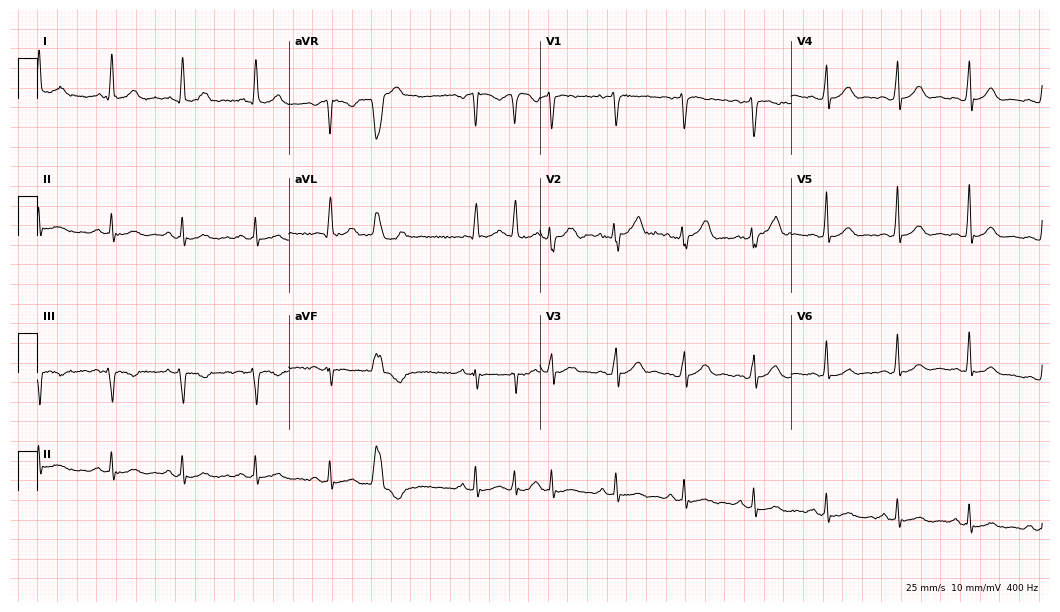
12-lead ECG from a man, 61 years old. No first-degree AV block, right bundle branch block (RBBB), left bundle branch block (LBBB), sinus bradycardia, atrial fibrillation (AF) or sinus tachycardia recorded for this tracing.